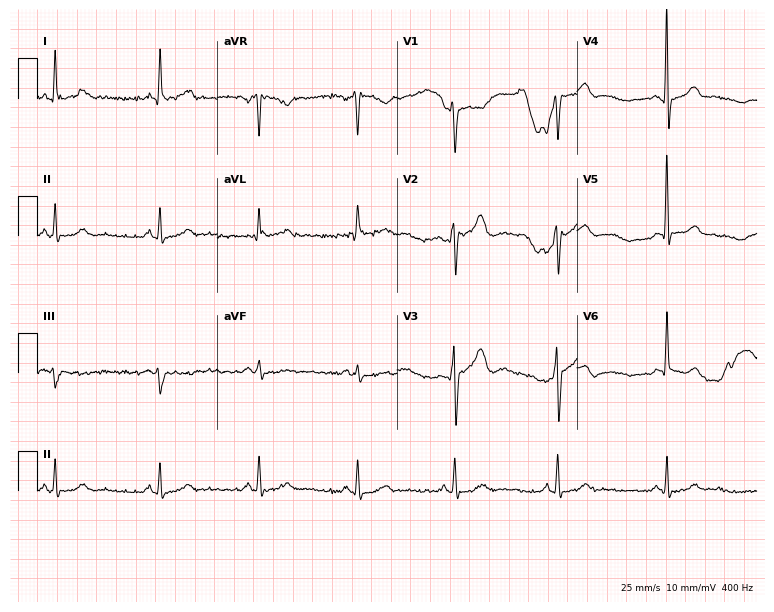
12-lead ECG (7.3-second recording at 400 Hz) from a man, 42 years old. Labelled as a normal ECG.